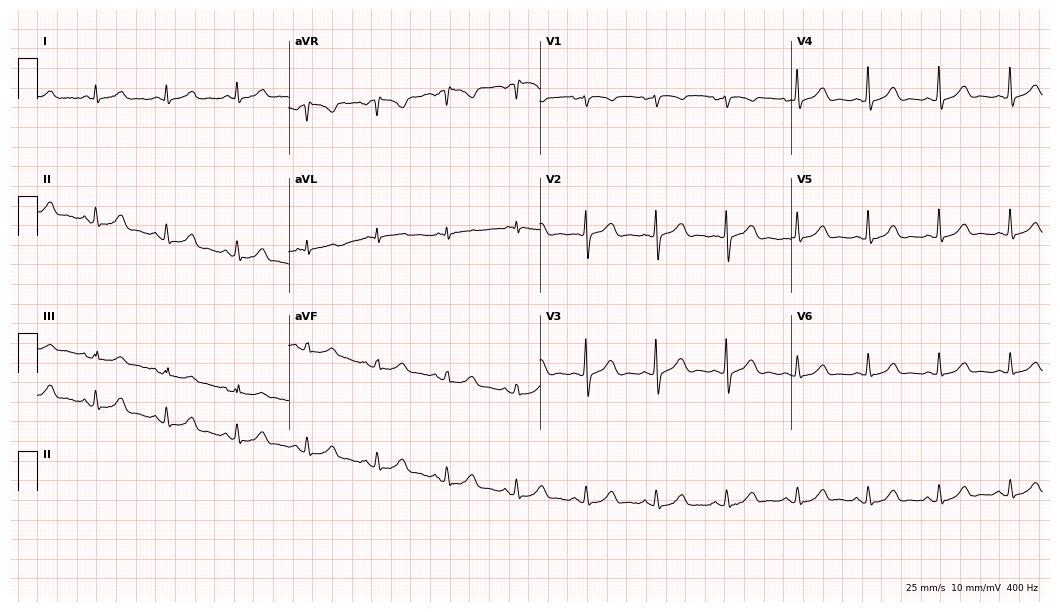
Resting 12-lead electrocardiogram (10.2-second recording at 400 Hz). Patient: a female, 75 years old. Read as a normal ECG.